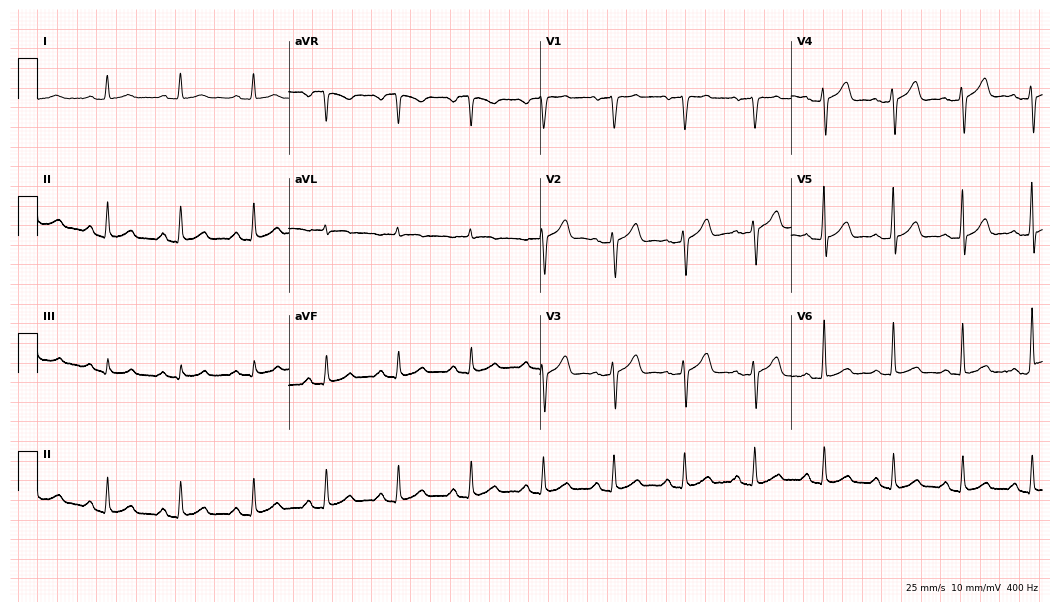
Electrocardiogram (10.2-second recording at 400 Hz), a male patient, 62 years old. Of the six screened findings (first-degree AV block, right bundle branch block (RBBB), left bundle branch block (LBBB), sinus bradycardia, atrial fibrillation (AF), sinus tachycardia), none is recorded. Only these six findings were labelled.